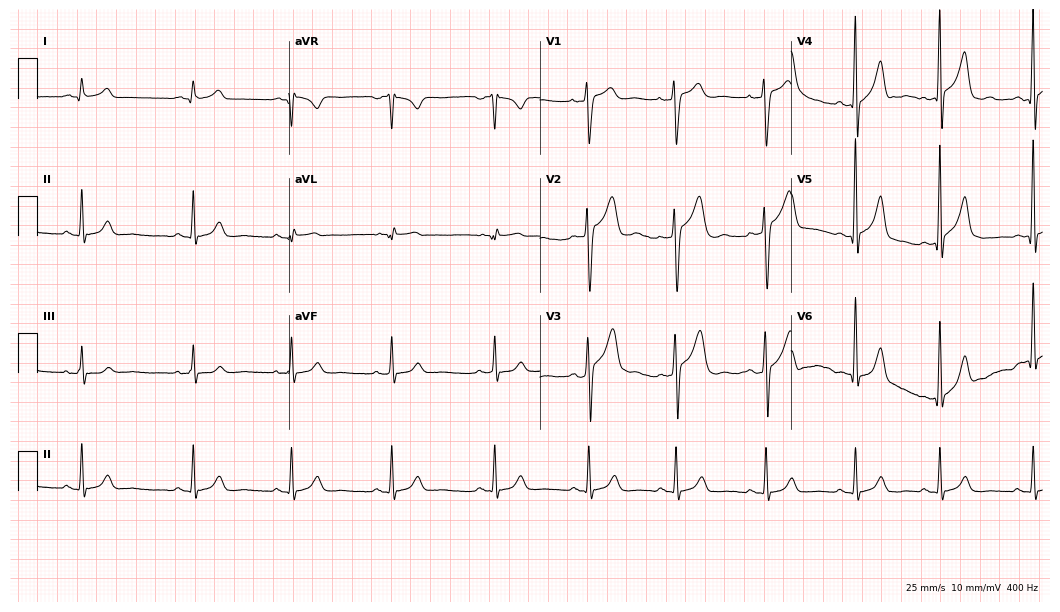
Electrocardiogram, a female patient, 21 years old. Overall reading on record: normal ECG.